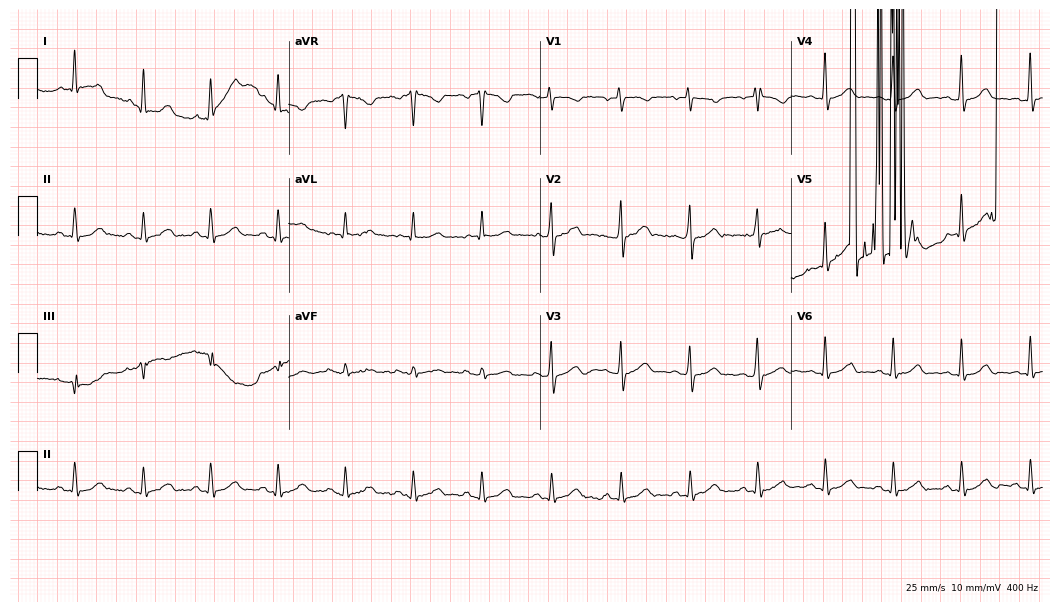
12-lead ECG from a woman, 60 years old (10.2-second recording at 400 Hz). No first-degree AV block, right bundle branch block (RBBB), left bundle branch block (LBBB), sinus bradycardia, atrial fibrillation (AF) or sinus tachycardia recorded for this tracing.